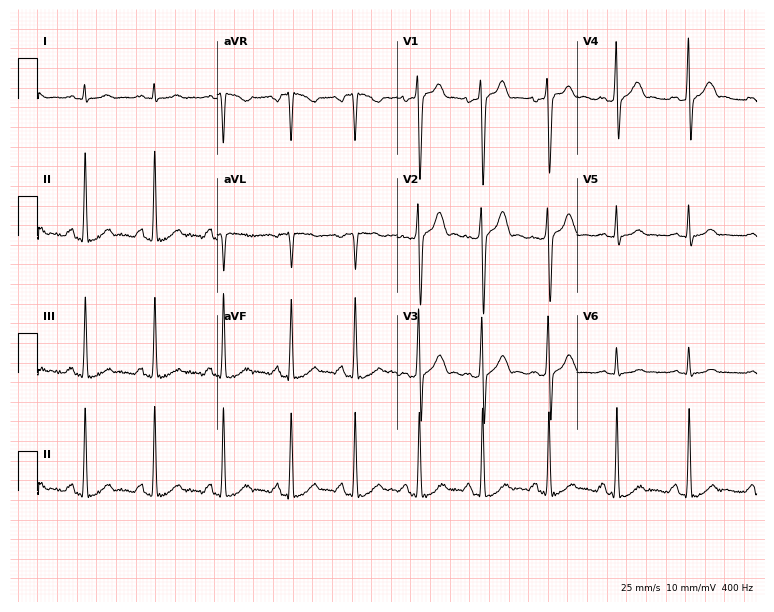
12-lead ECG (7.3-second recording at 400 Hz) from a 20-year-old male patient. Screened for six findings — first-degree AV block, right bundle branch block, left bundle branch block, sinus bradycardia, atrial fibrillation, sinus tachycardia — none is recorded. Findings outside these six are not listed.